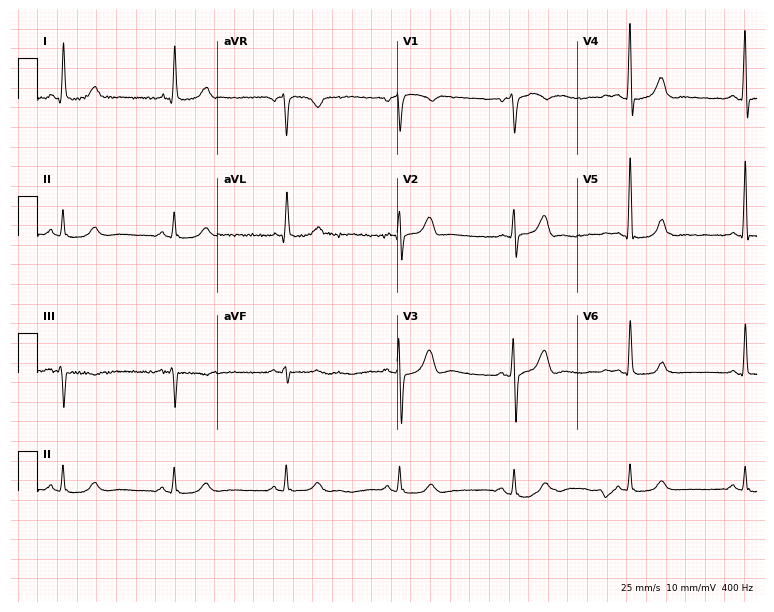
Resting 12-lead electrocardiogram. Patient: a man, 77 years old. Read as a normal ECG.